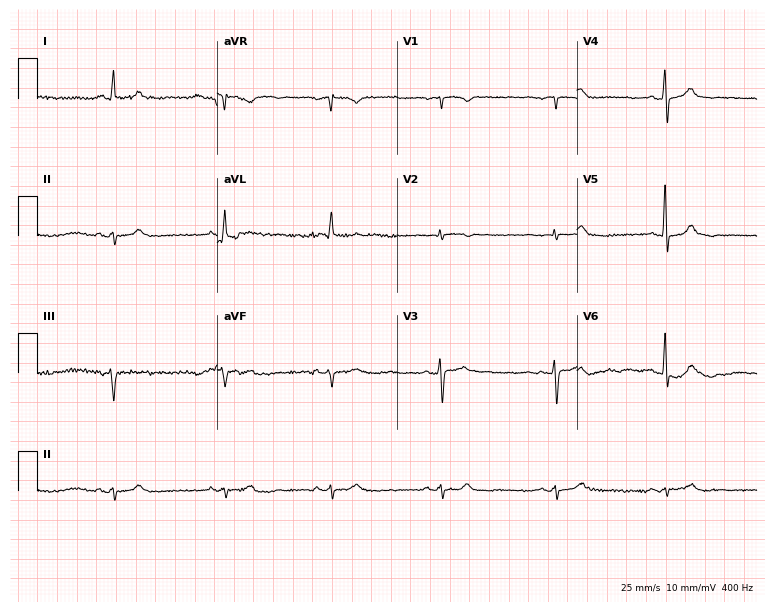
Electrocardiogram, a female, 68 years old. Of the six screened findings (first-degree AV block, right bundle branch block, left bundle branch block, sinus bradycardia, atrial fibrillation, sinus tachycardia), none is recorded.